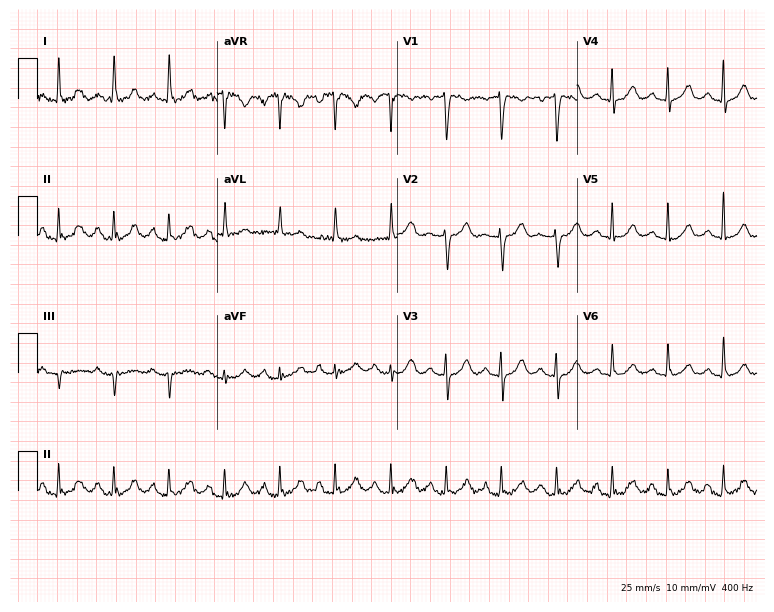
ECG (7.3-second recording at 400 Hz) — a woman, 77 years old. Findings include sinus tachycardia (a sinus rate of 100 beats per minute or more).